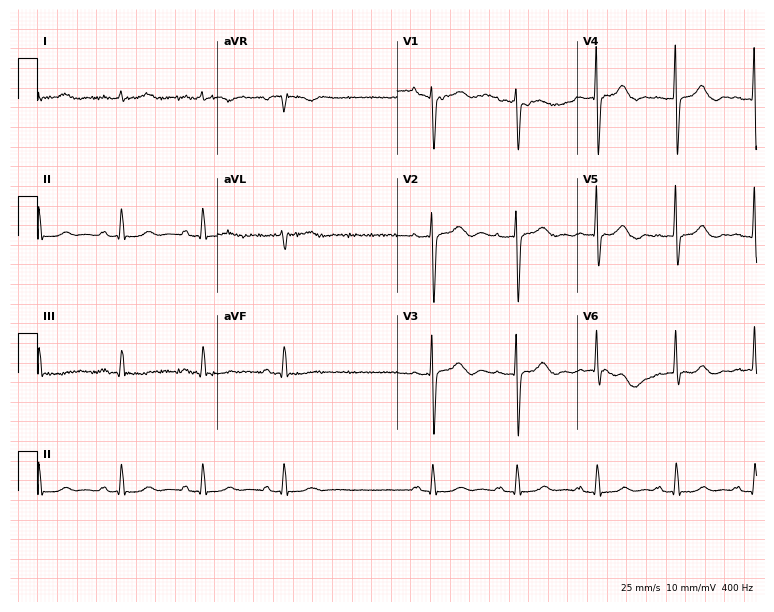
12-lead ECG from an 85-year-old female. No first-degree AV block, right bundle branch block, left bundle branch block, sinus bradycardia, atrial fibrillation or sinus tachycardia recorded for this tracing. Findings outside these six are not listed.